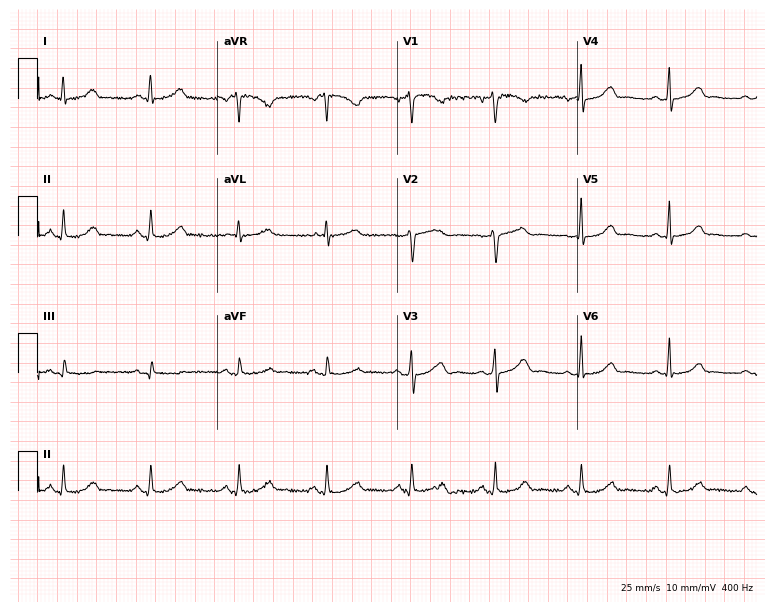
Electrocardiogram (7.3-second recording at 400 Hz), a 42-year-old female patient. Overall reading on record: normal ECG.